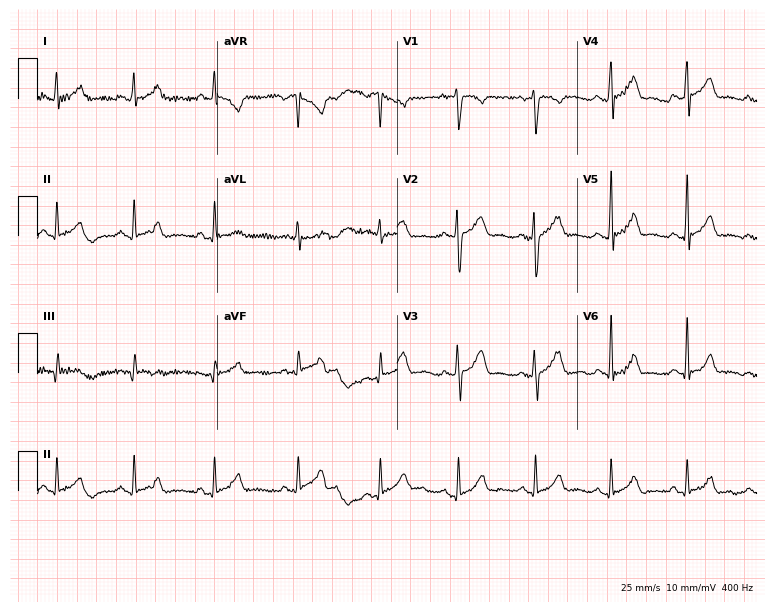
ECG (7.3-second recording at 400 Hz) — a male patient, 29 years old. Screened for six findings — first-degree AV block, right bundle branch block (RBBB), left bundle branch block (LBBB), sinus bradycardia, atrial fibrillation (AF), sinus tachycardia — none is recorded. Only these six findings were labelled.